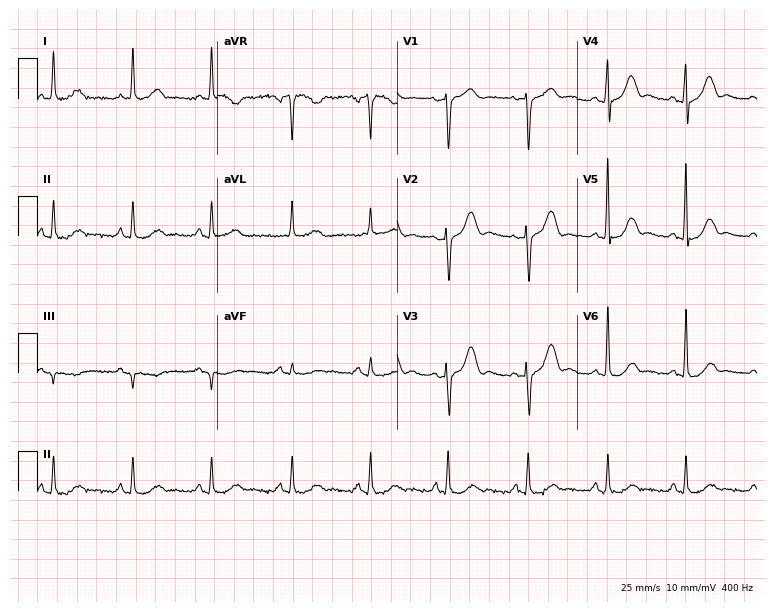
Electrocardiogram (7.3-second recording at 400 Hz), a female, 80 years old. Overall reading on record: normal ECG.